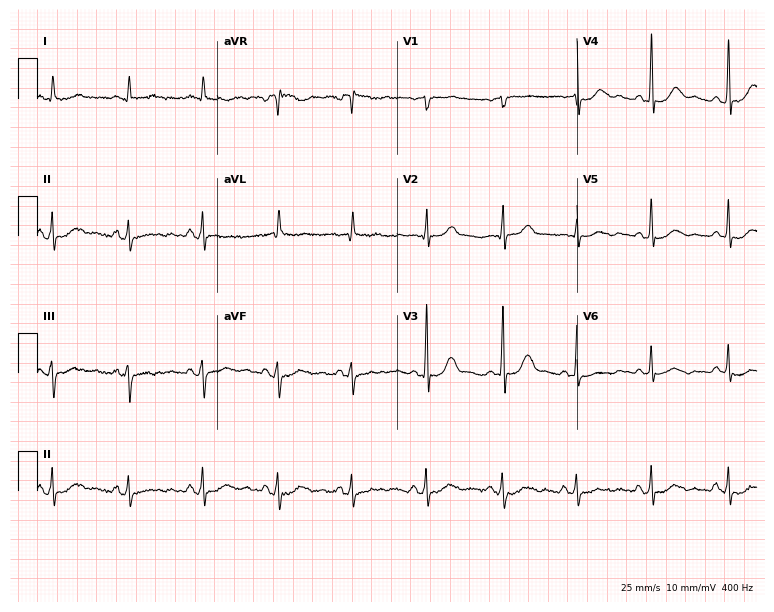
Resting 12-lead electrocardiogram. Patient: a woman, 65 years old. Read as a normal ECG.